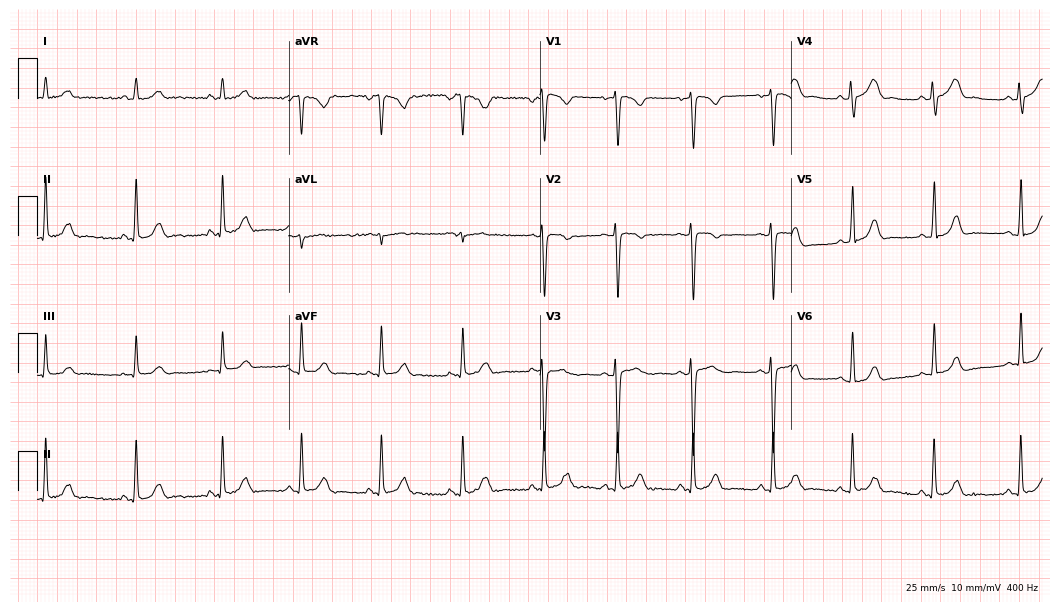
Electrocardiogram, a 21-year-old woman. Overall reading on record: normal ECG.